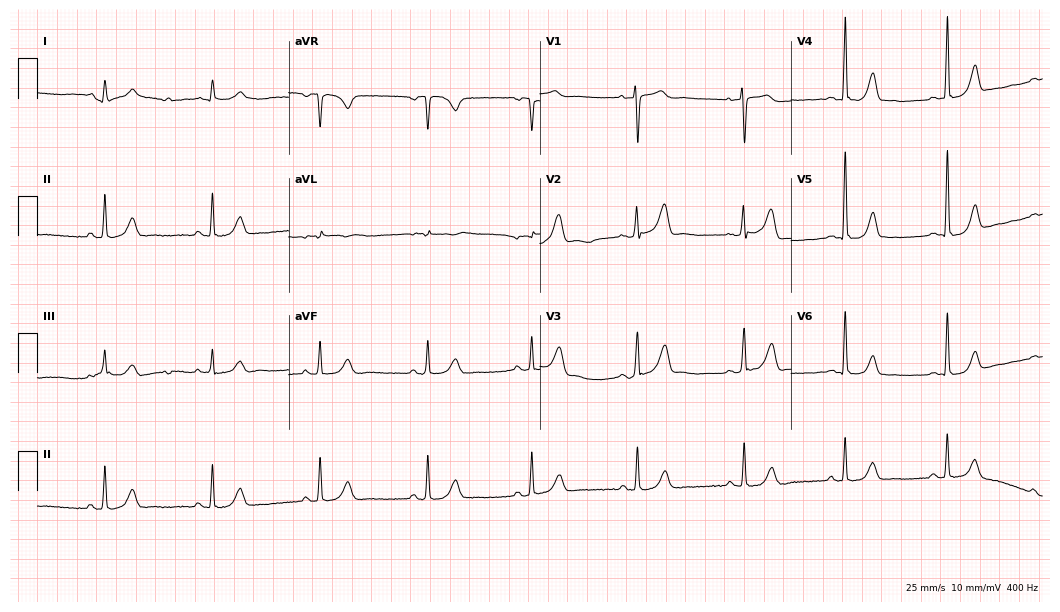
Standard 12-lead ECG recorded from a 45-year-old female patient (10.2-second recording at 400 Hz). Read as a normal ECG.